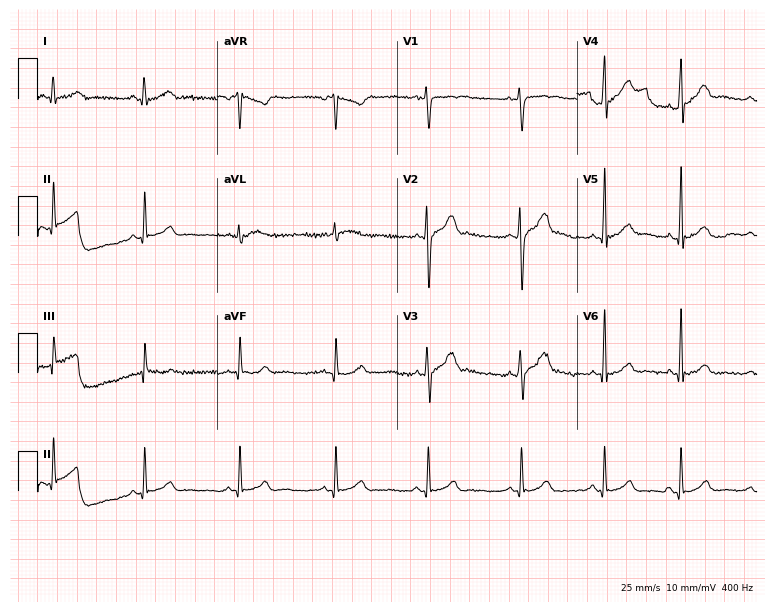
Standard 12-lead ECG recorded from a male patient, 24 years old. Read as a normal ECG.